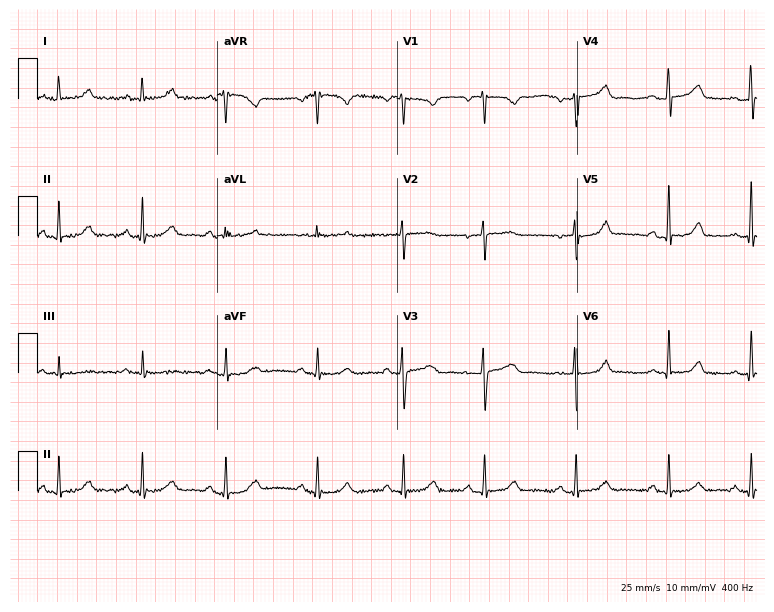
Standard 12-lead ECG recorded from a 46-year-old woman. Read as a normal ECG.